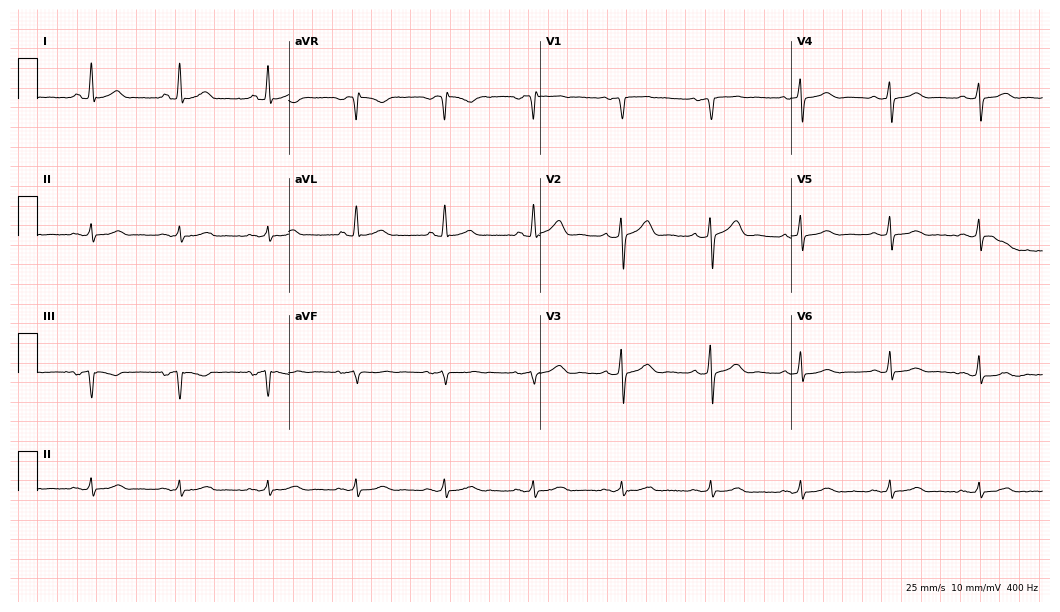
Standard 12-lead ECG recorded from a male patient, 62 years old. None of these six findings is recorded: first-degree AV block, right bundle branch block, left bundle branch block, sinus bradycardia, atrial fibrillation, sinus tachycardia.